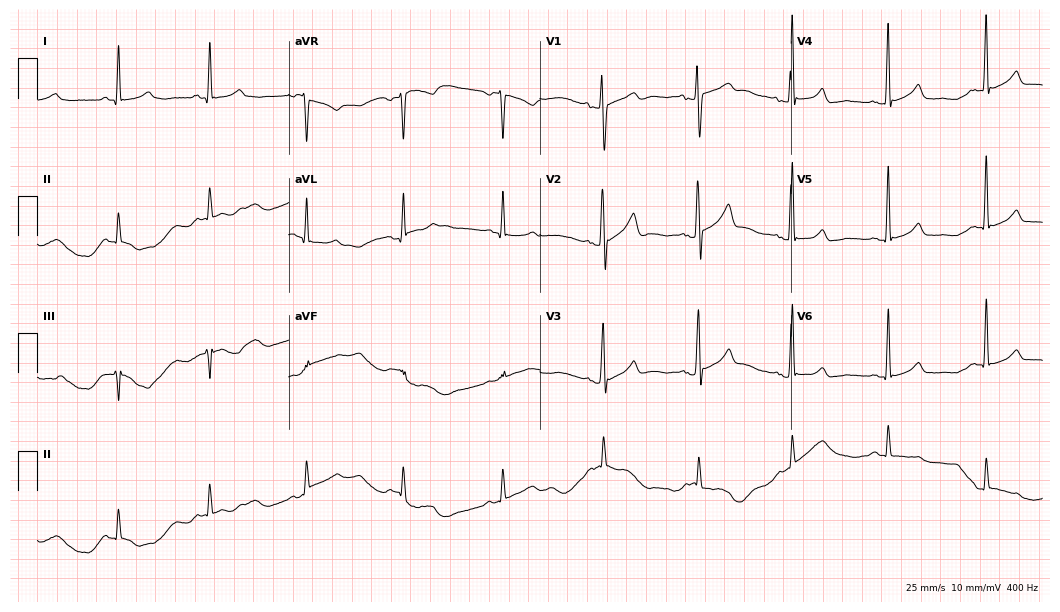
ECG (10.2-second recording at 400 Hz) — a 44-year-old female. Labelled as a normal ECG.